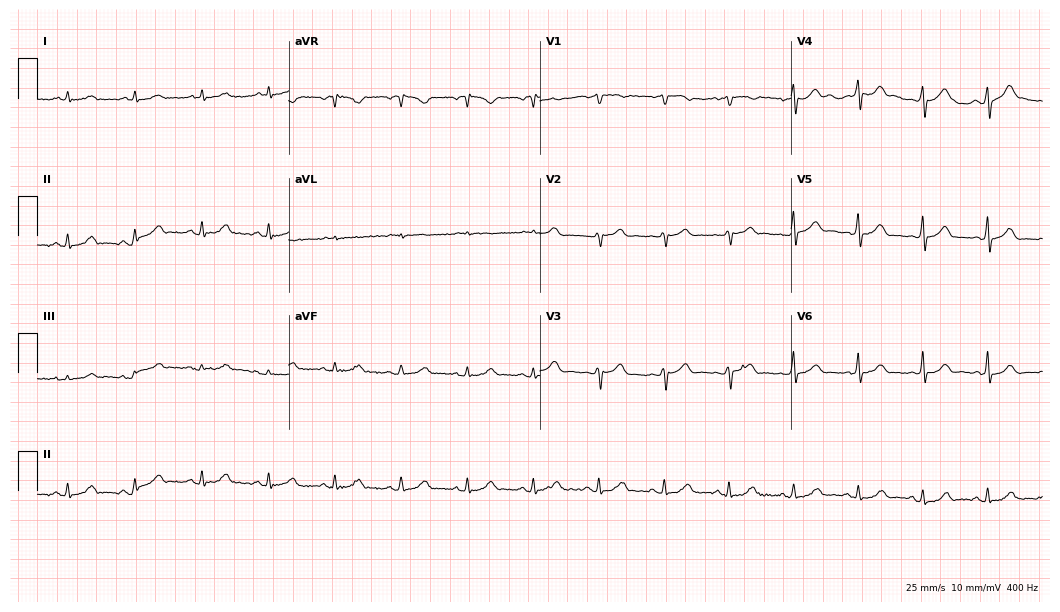
12-lead ECG from a 63-year-old male. Recorded interpretation: within normal limits.